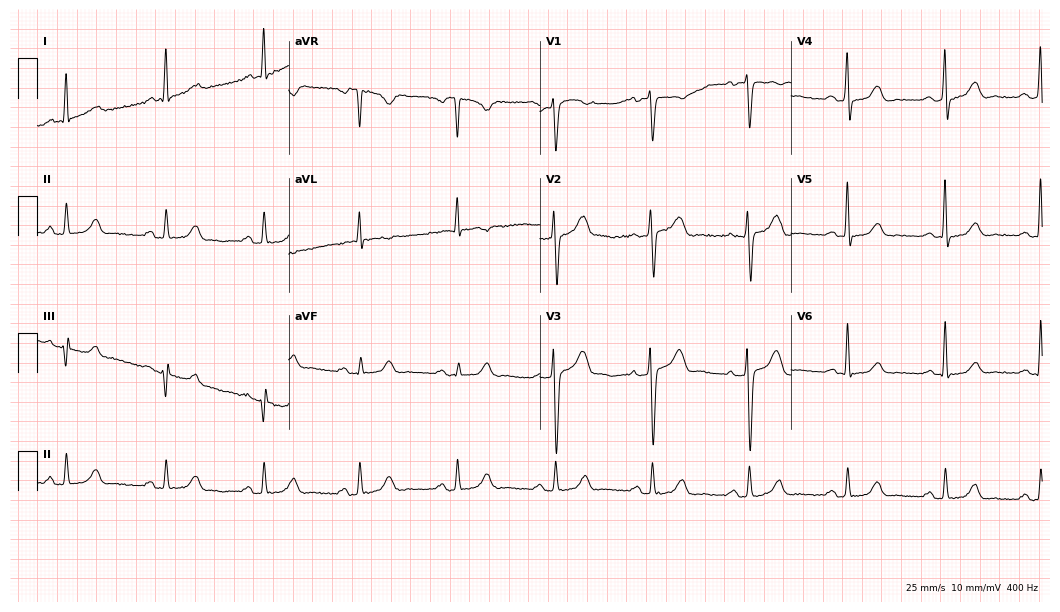
12-lead ECG (10.2-second recording at 400 Hz) from a woman, 62 years old. Labelled as a normal ECG.